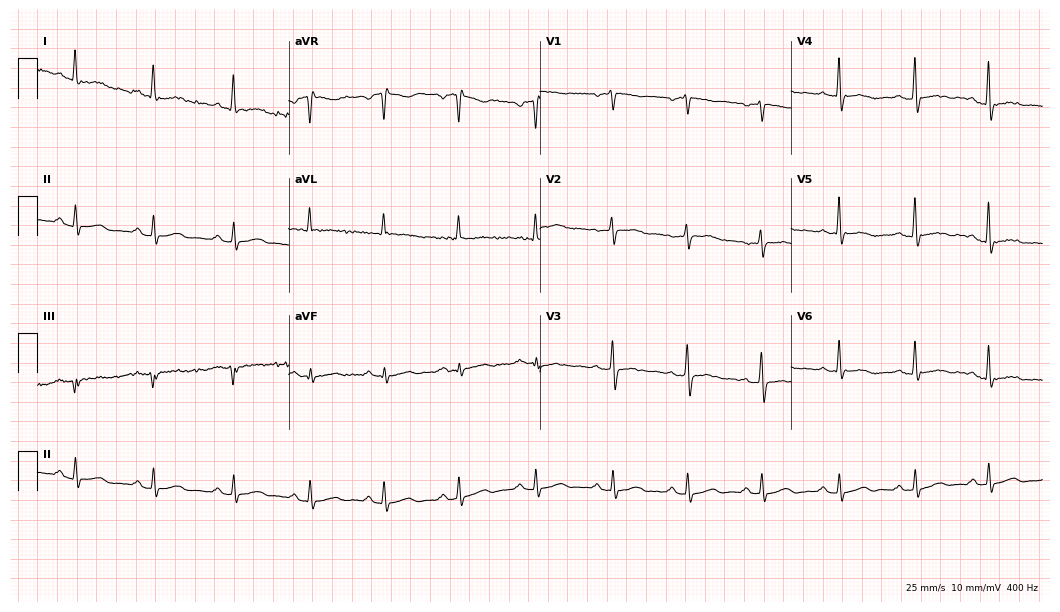
12-lead ECG from a female, 56 years old (10.2-second recording at 400 Hz). No first-degree AV block, right bundle branch block (RBBB), left bundle branch block (LBBB), sinus bradycardia, atrial fibrillation (AF) or sinus tachycardia recorded for this tracing. Other findings, if any, are not listed.